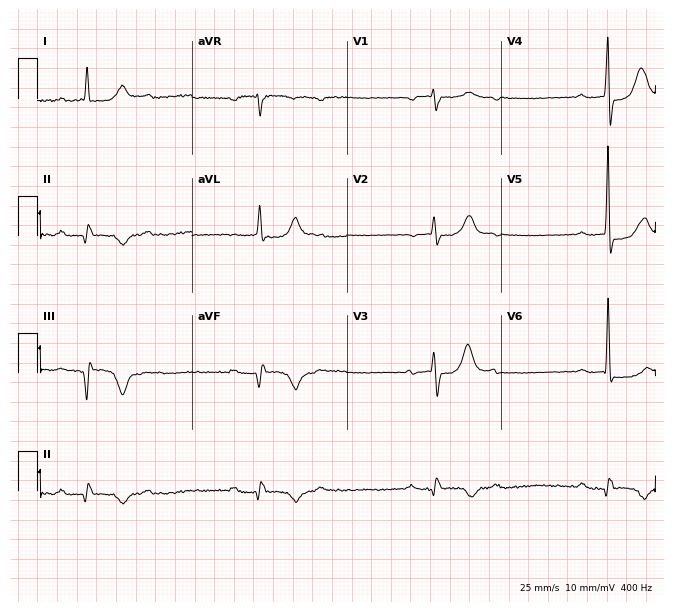
Electrocardiogram (6.3-second recording at 400 Hz), a male, 69 years old. Interpretation includes first-degree AV block.